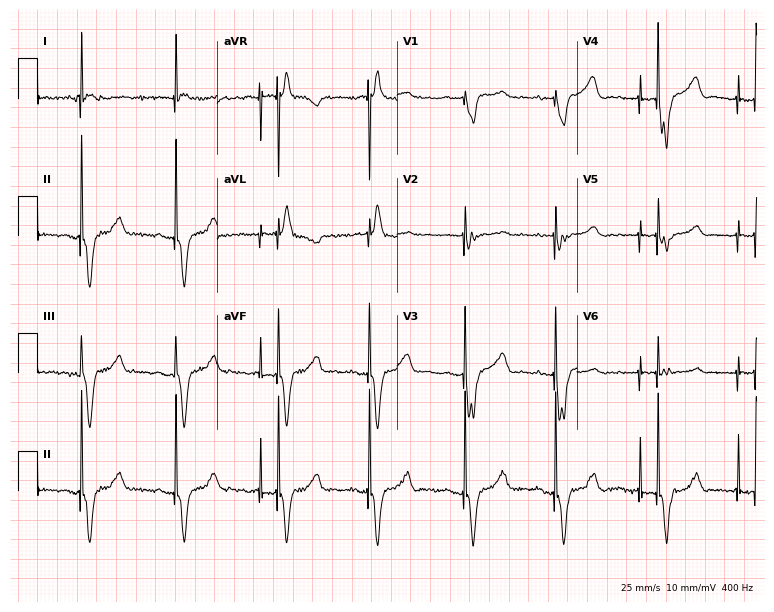
Standard 12-lead ECG recorded from a female patient, 68 years old. None of these six findings is recorded: first-degree AV block, right bundle branch block (RBBB), left bundle branch block (LBBB), sinus bradycardia, atrial fibrillation (AF), sinus tachycardia.